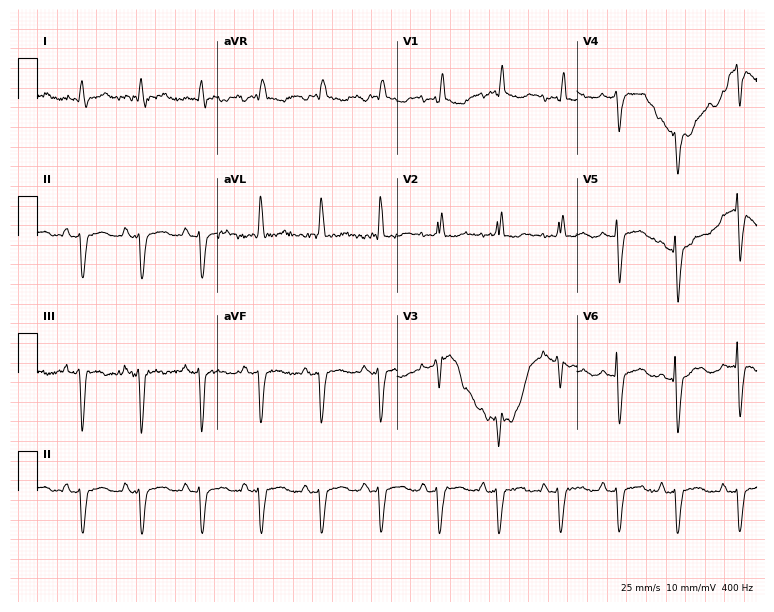
Electrocardiogram, a woman, 69 years old. Of the six screened findings (first-degree AV block, right bundle branch block, left bundle branch block, sinus bradycardia, atrial fibrillation, sinus tachycardia), none is recorded. Only these six findings were labelled.